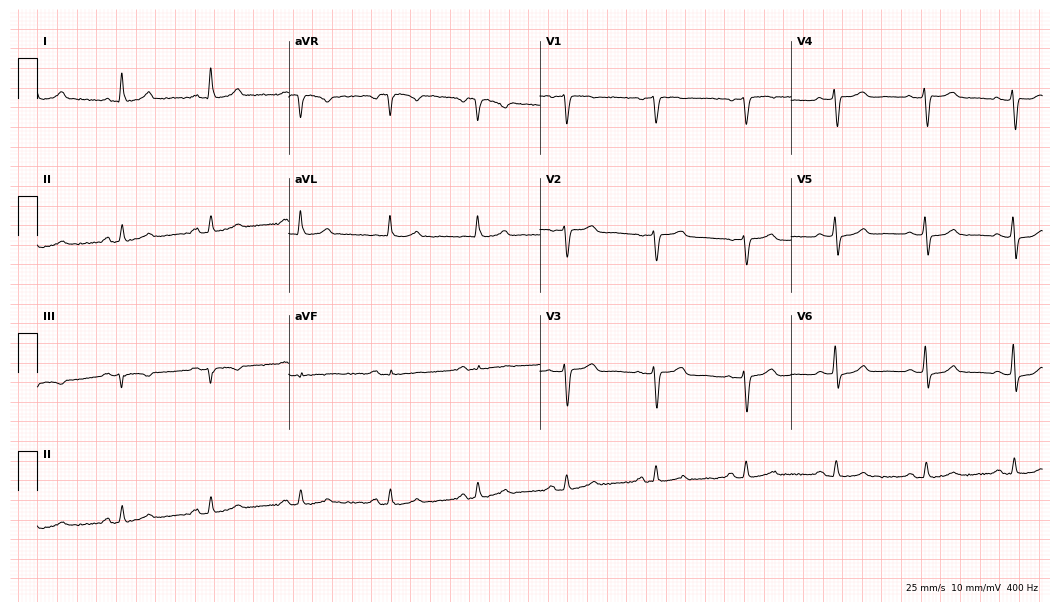
12-lead ECG from a 55-year-old woman. Labelled as a normal ECG.